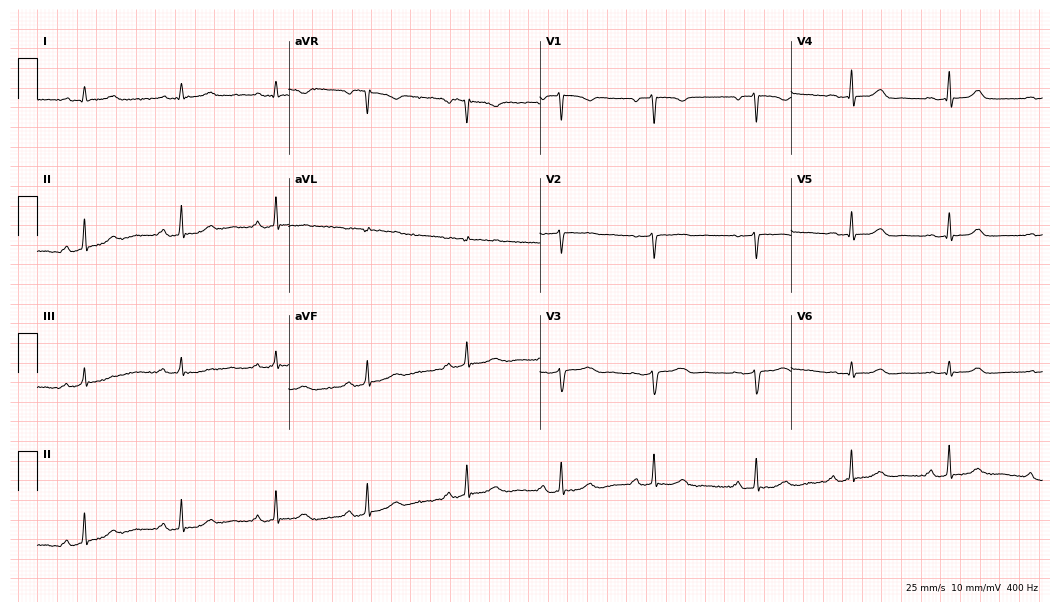
ECG (10.2-second recording at 400 Hz) — a woman, 32 years old. Labelled as a normal ECG.